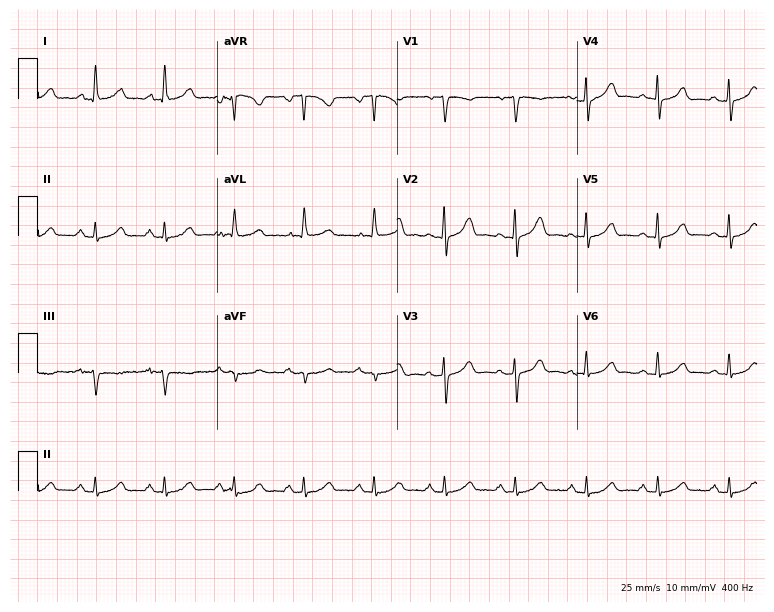
Resting 12-lead electrocardiogram (7.3-second recording at 400 Hz). Patient: a female, 64 years old. Read as a normal ECG.